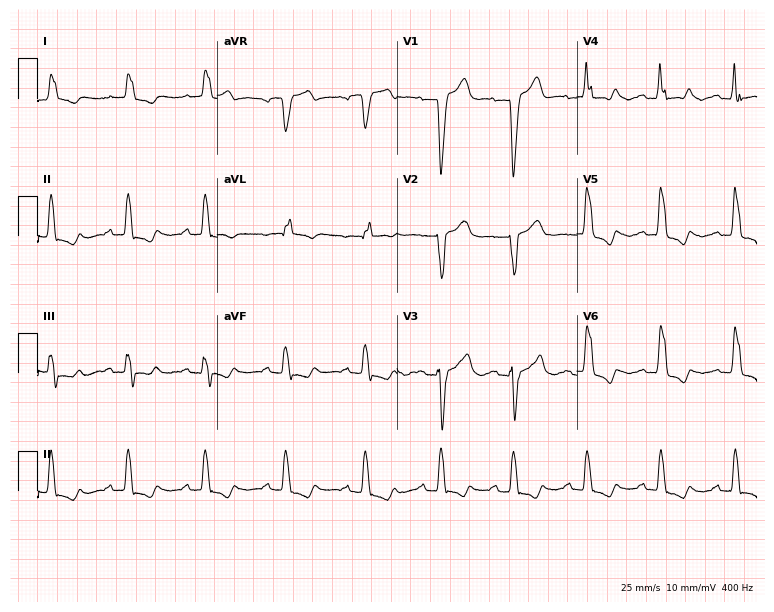
12-lead ECG (7.3-second recording at 400 Hz) from a woman, 71 years old. Screened for six findings — first-degree AV block, right bundle branch block, left bundle branch block, sinus bradycardia, atrial fibrillation, sinus tachycardia — none is recorded. Findings outside these six are not listed.